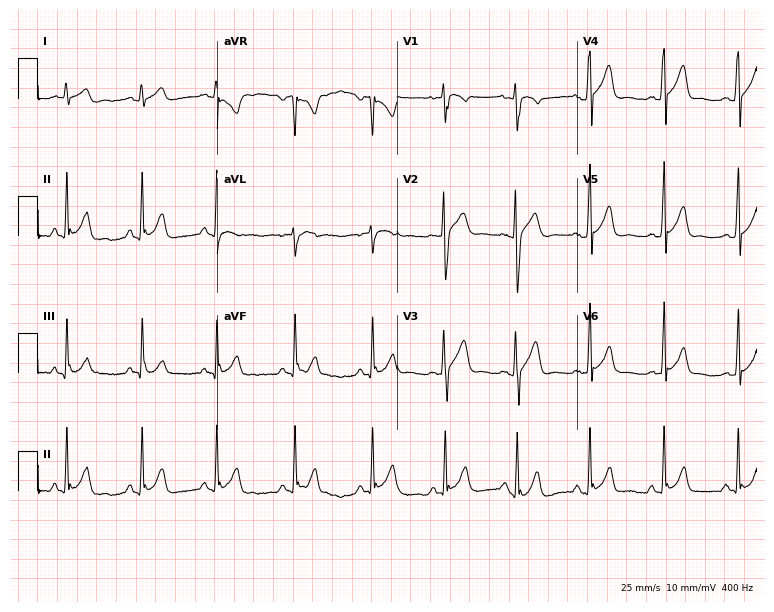
Electrocardiogram, a man, 25 years old. Of the six screened findings (first-degree AV block, right bundle branch block (RBBB), left bundle branch block (LBBB), sinus bradycardia, atrial fibrillation (AF), sinus tachycardia), none is recorded. Only these six findings were labelled.